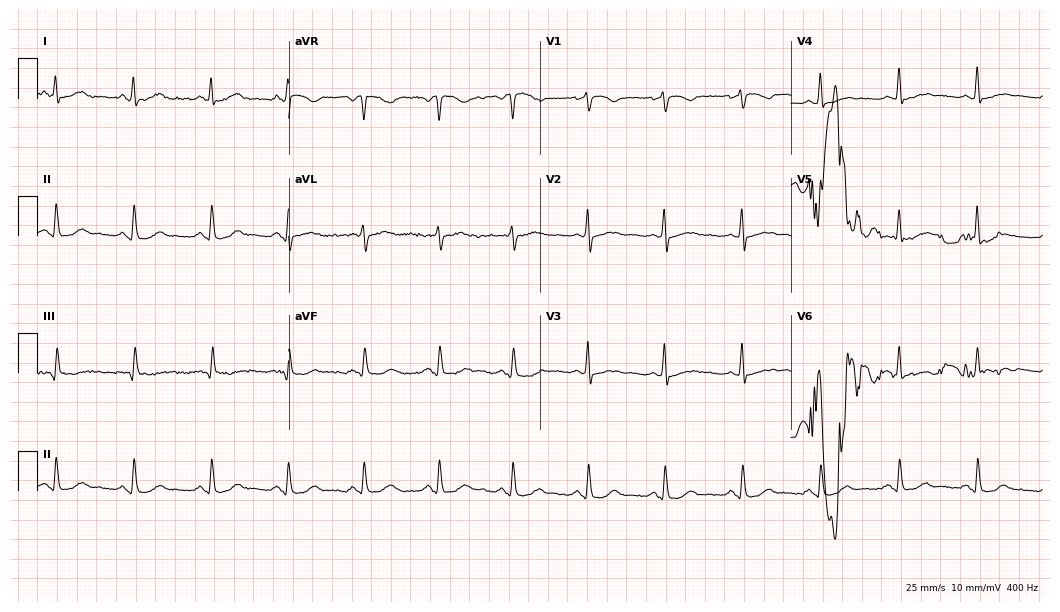
Resting 12-lead electrocardiogram (10.2-second recording at 400 Hz). Patient: a 55-year-old female. None of these six findings is recorded: first-degree AV block, right bundle branch block, left bundle branch block, sinus bradycardia, atrial fibrillation, sinus tachycardia. Other findings, if any, are not listed.